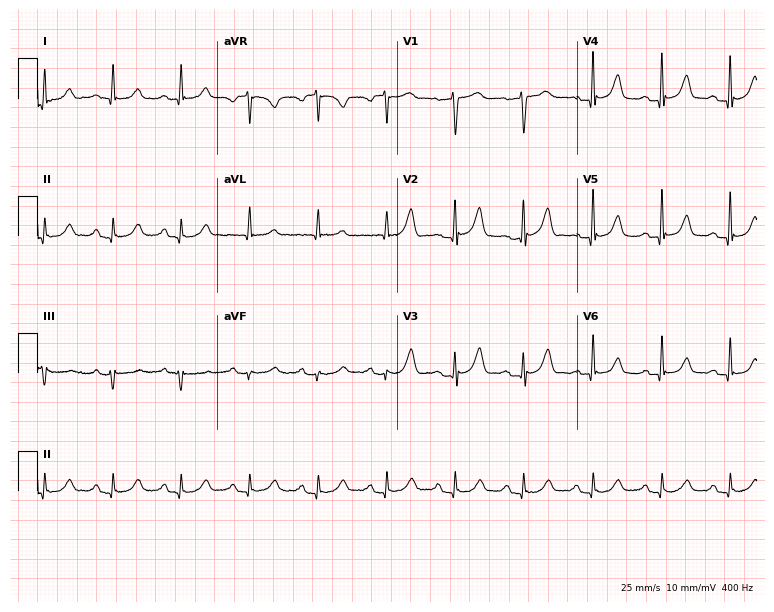
Electrocardiogram, a woman, 76 years old. Of the six screened findings (first-degree AV block, right bundle branch block, left bundle branch block, sinus bradycardia, atrial fibrillation, sinus tachycardia), none is recorded.